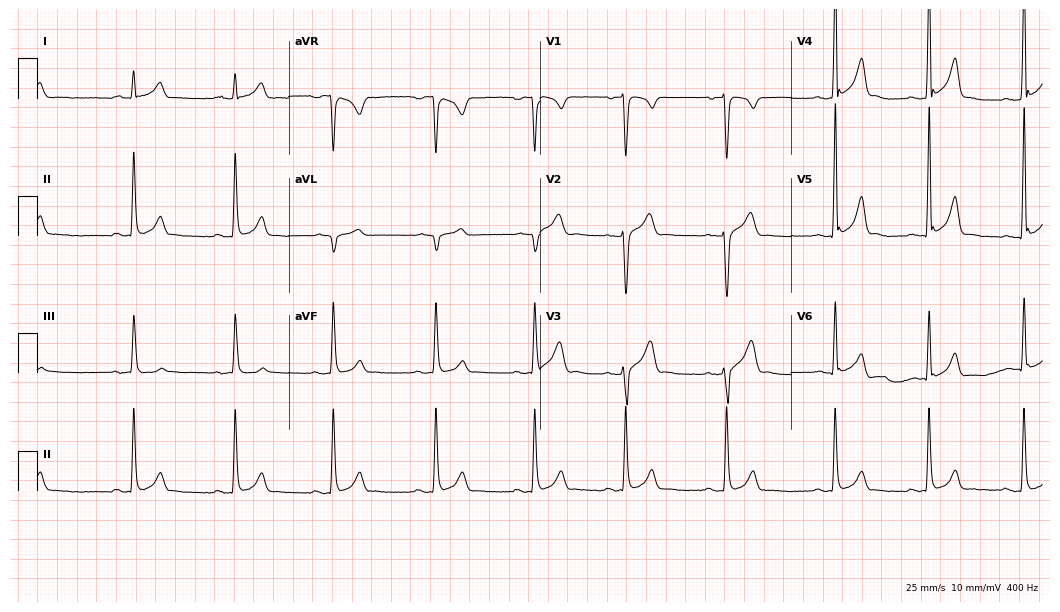
12-lead ECG from a 21-year-old male. Screened for six findings — first-degree AV block, right bundle branch block, left bundle branch block, sinus bradycardia, atrial fibrillation, sinus tachycardia — none is recorded.